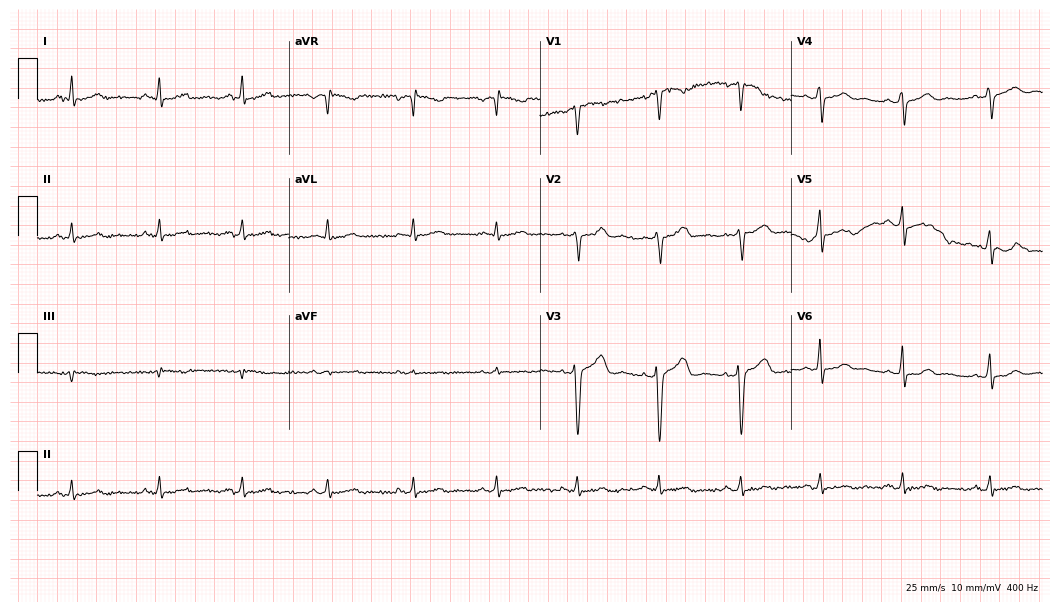
12-lead ECG (10.2-second recording at 400 Hz) from a 40-year-old male patient. Screened for six findings — first-degree AV block, right bundle branch block (RBBB), left bundle branch block (LBBB), sinus bradycardia, atrial fibrillation (AF), sinus tachycardia — none is recorded.